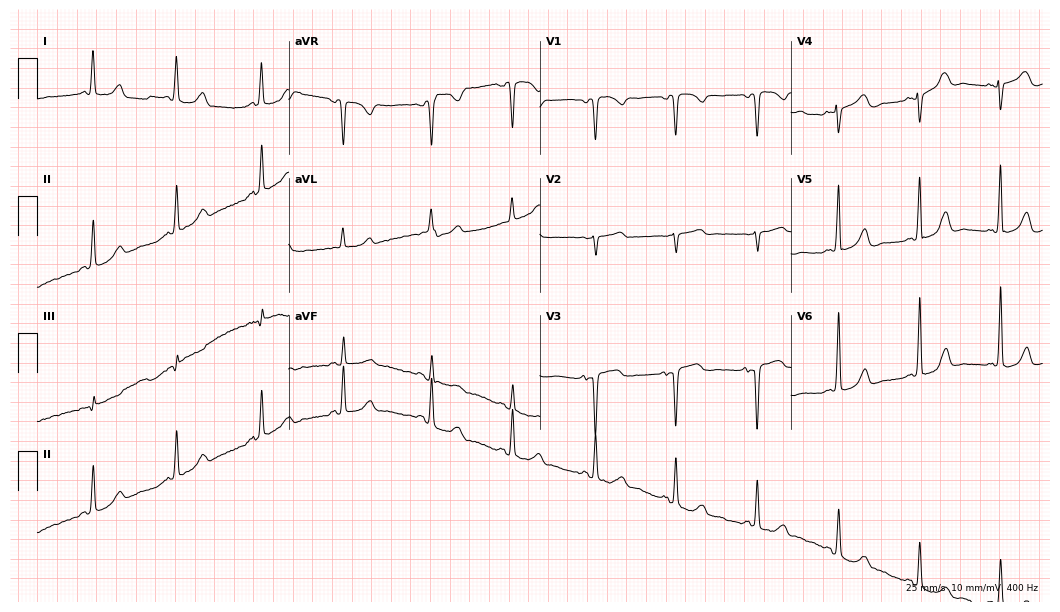
ECG — a woman, 85 years old. Screened for six findings — first-degree AV block, right bundle branch block, left bundle branch block, sinus bradycardia, atrial fibrillation, sinus tachycardia — none is recorded.